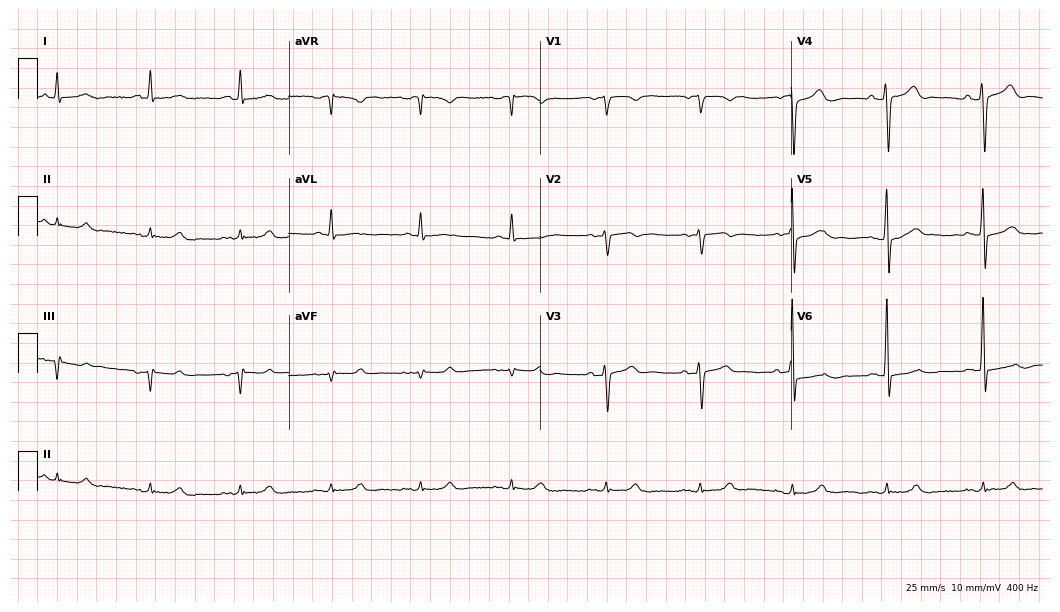
Electrocardiogram (10.2-second recording at 400 Hz), a male, 79 years old. Overall reading on record: normal ECG.